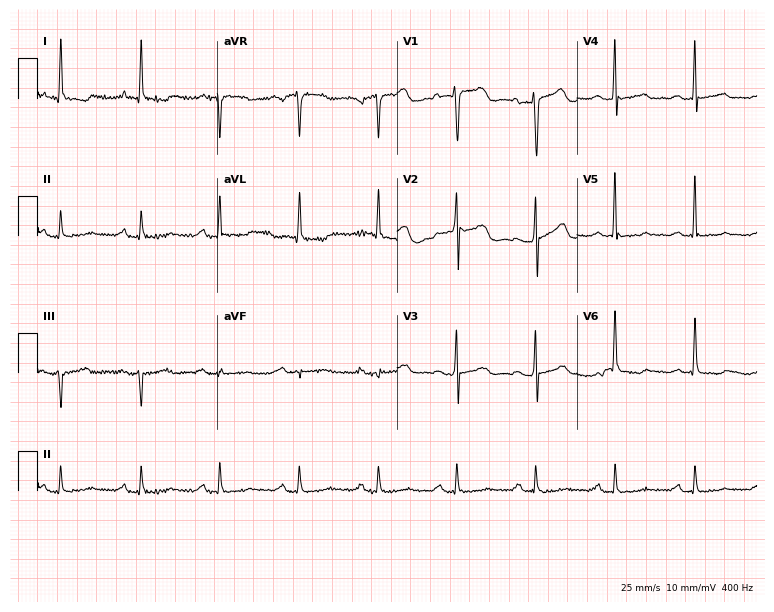
12-lead ECG (7.3-second recording at 400 Hz) from a 74-year-old male. Labelled as a normal ECG.